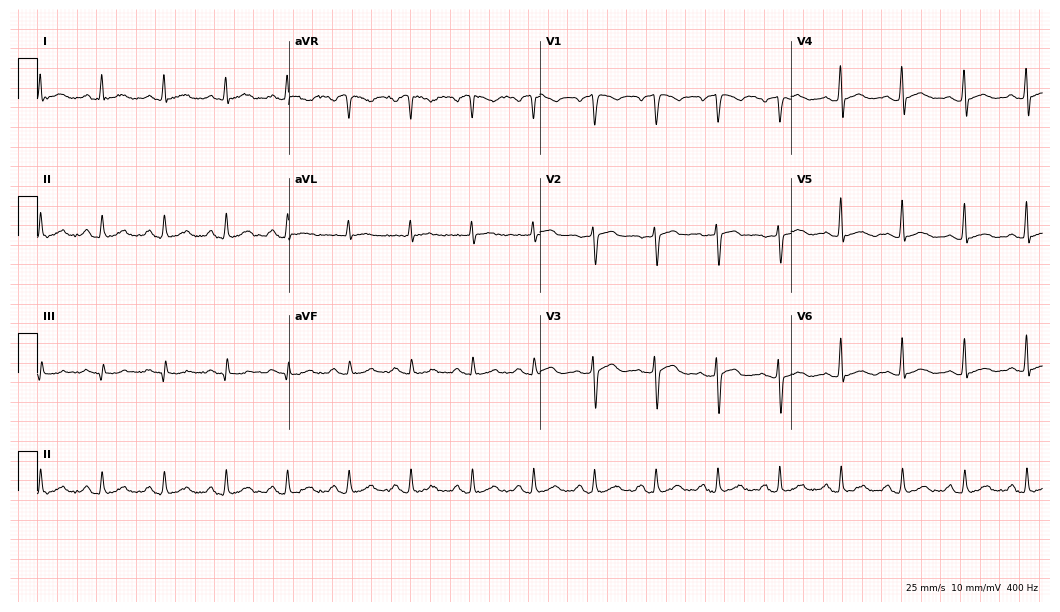
ECG — a 40-year-old male patient. Labelled as a normal ECG.